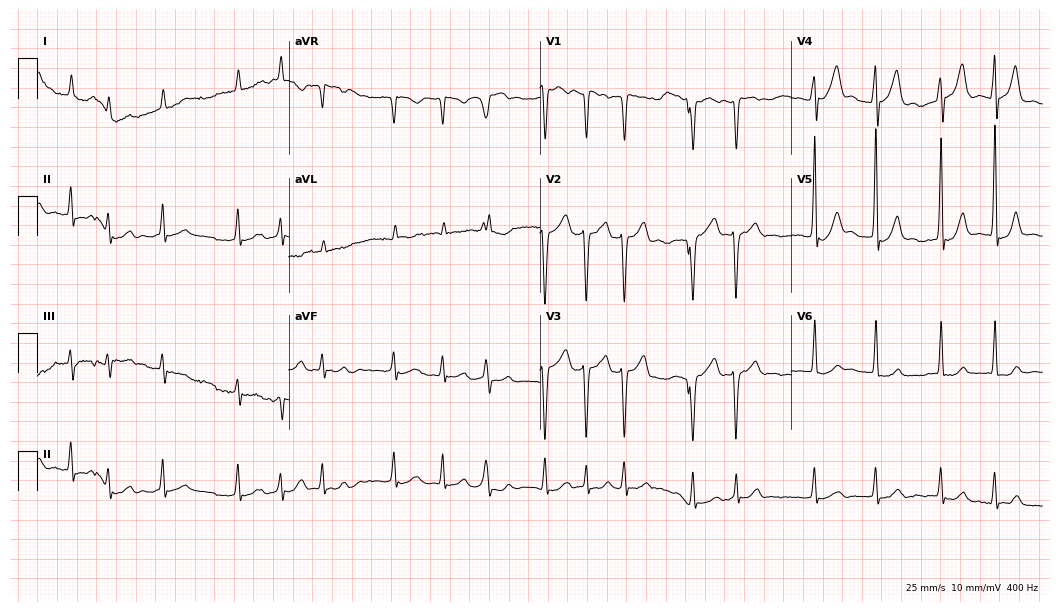
ECG (10.2-second recording at 400 Hz) — a 66-year-old man. Screened for six findings — first-degree AV block, right bundle branch block, left bundle branch block, sinus bradycardia, atrial fibrillation, sinus tachycardia — none is recorded. Findings outside these six are not listed.